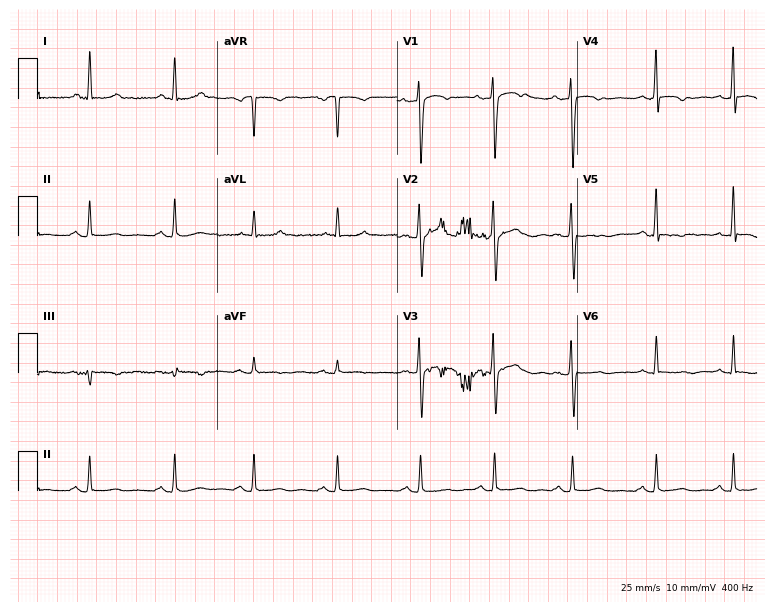
Electrocardiogram, a woman, 27 years old. Of the six screened findings (first-degree AV block, right bundle branch block, left bundle branch block, sinus bradycardia, atrial fibrillation, sinus tachycardia), none is recorded. Findings outside these six are not listed.